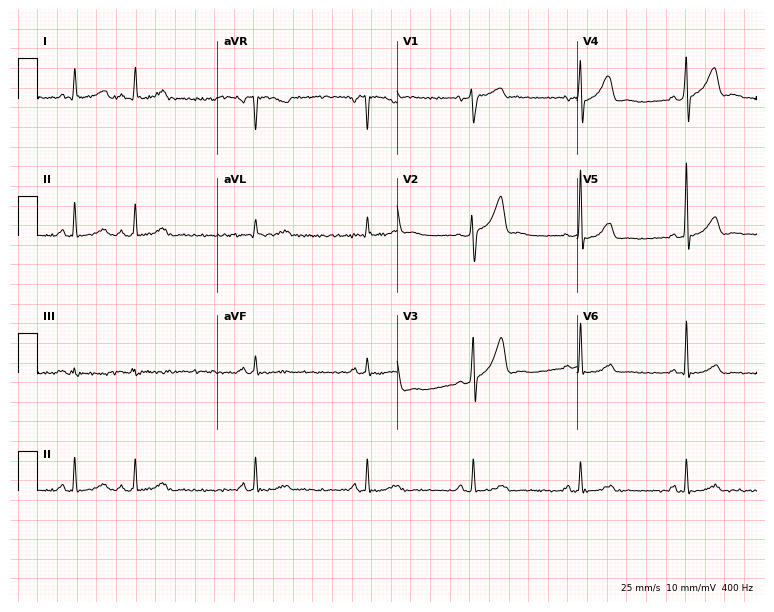
12-lead ECG (7.3-second recording at 400 Hz) from a male patient, 54 years old. Screened for six findings — first-degree AV block, right bundle branch block, left bundle branch block, sinus bradycardia, atrial fibrillation, sinus tachycardia — none is recorded.